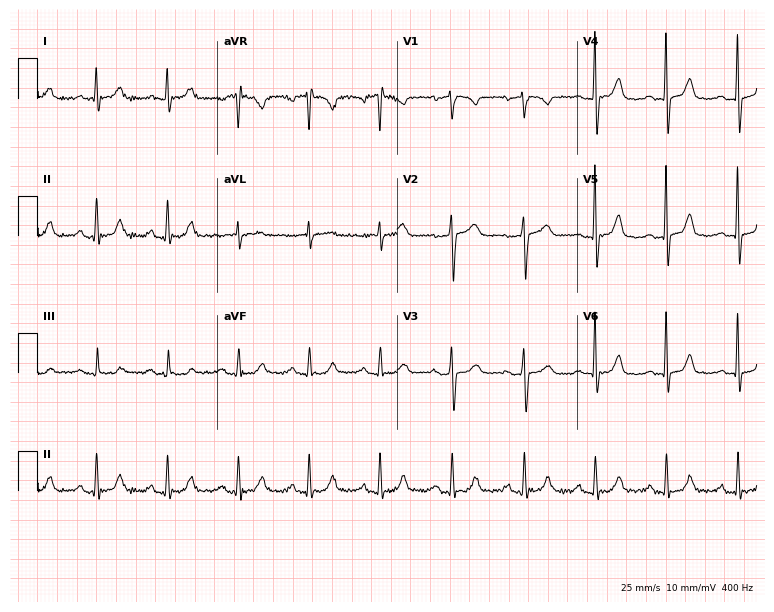
ECG (7.3-second recording at 400 Hz) — a female, 71 years old. Labelled as a normal ECG.